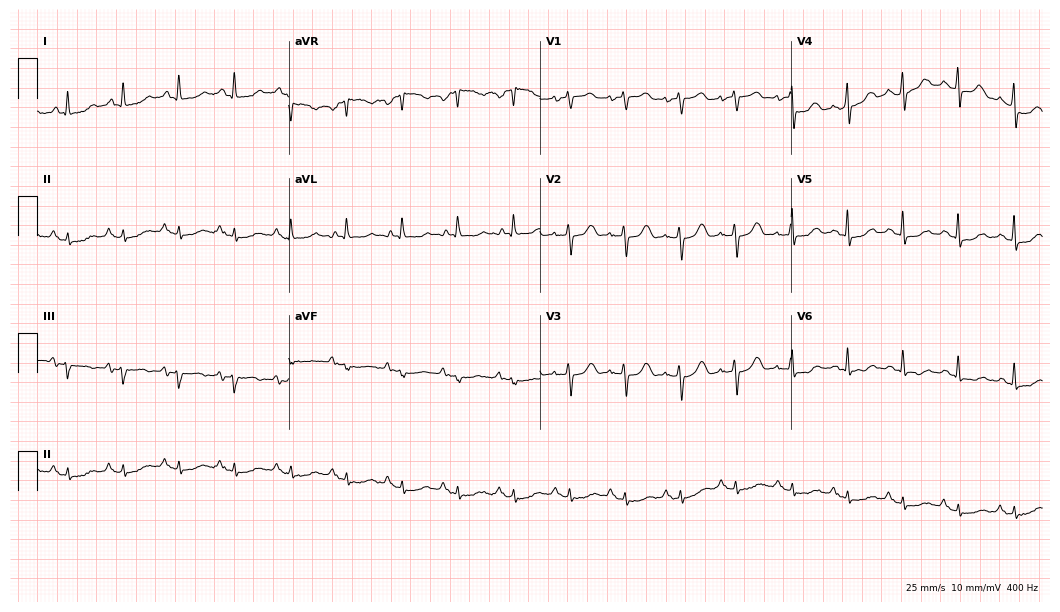
Standard 12-lead ECG recorded from an 82-year-old female. The tracing shows sinus tachycardia (a sinus rate of 100 beats per minute or more).